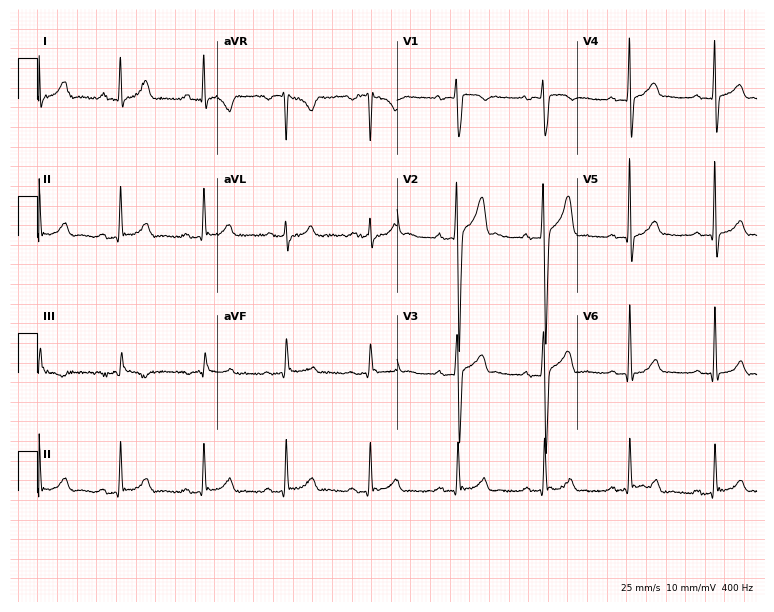
Electrocardiogram (7.3-second recording at 400 Hz), a male, 37 years old. Overall reading on record: normal ECG.